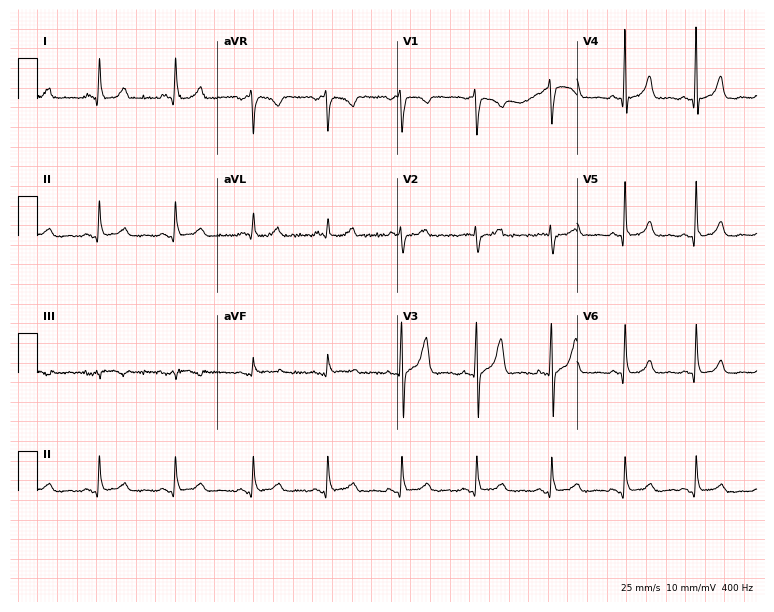
12-lead ECG from a 40-year-old male (7.3-second recording at 400 Hz). Recorded interpretation: within normal limits.